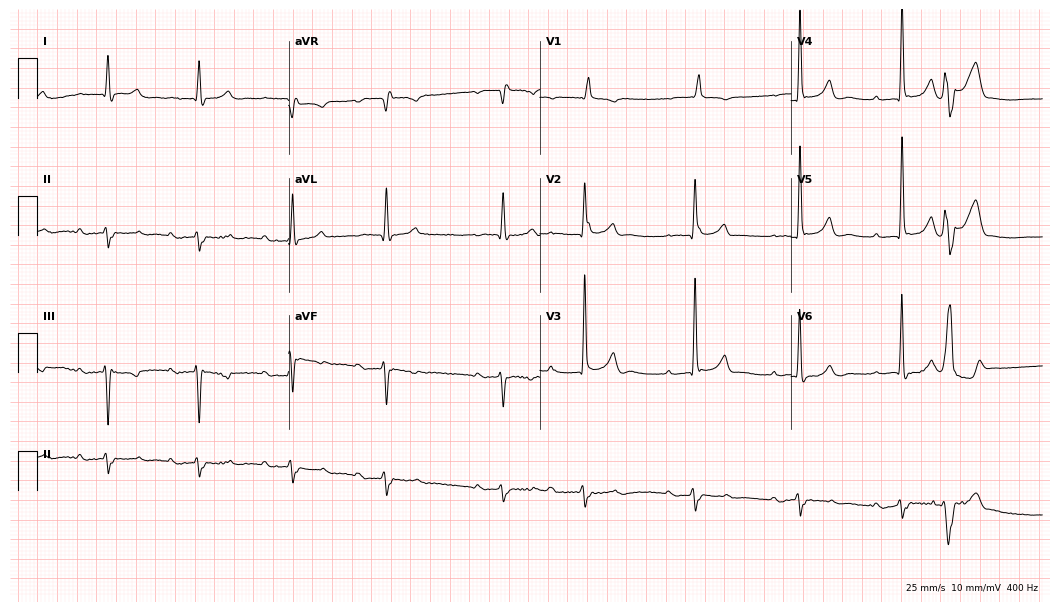
12-lead ECG from an 81-year-old male patient (10.2-second recording at 400 Hz). Shows first-degree AV block, right bundle branch block (RBBB).